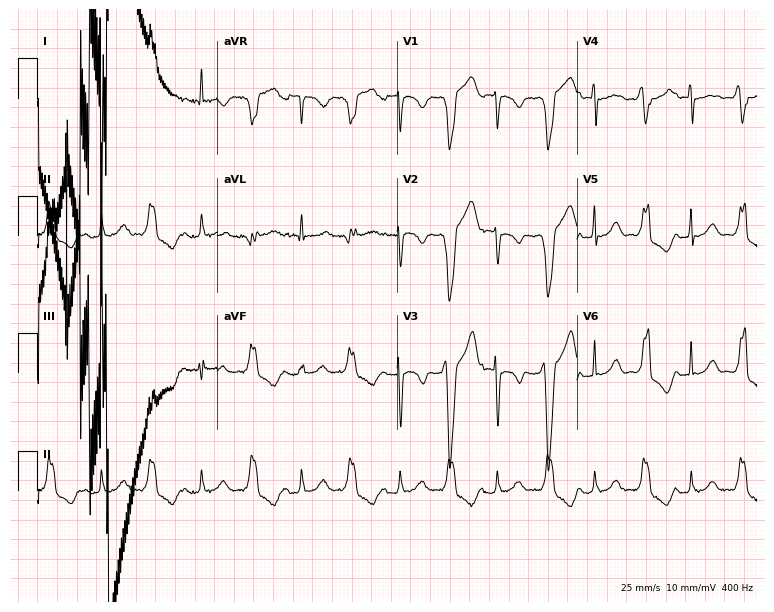
Resting 12-lead electrocardiogram. Patient: a woman, 44 years old. None of these six findings is recorded: first-degree AV block, right bundle branch block (RBBB), left bundle branch block (LBBB), sinus bradycardia, atrial fibrillation (AF), sinus tachycardia.